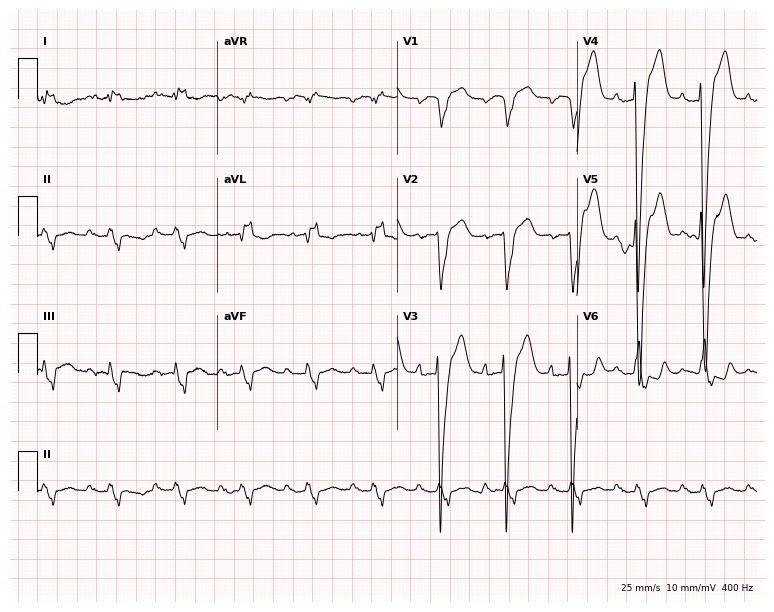
Resting 12-lead electrocardiogram (7.3-second recording at 400 Hz). Patient: a 68-year-old male. None of these six findings is recorded: first-degree AV block, right bundle branch block (RBBB), left bundle branch block (LBBB), sinus bradycardia, atrial fibrillation (AF), sinus tachycardia.